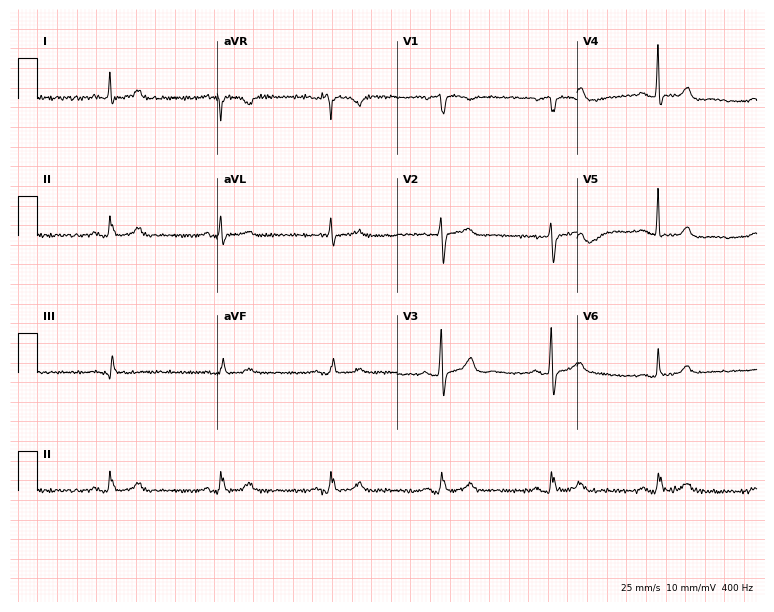
ECG (7.3-second recording at 400 Hz) — a male patient, 63 years old. Screened for six findings — first-degree AV block, right bundle branch block, left bundle branch block, sinus bradycardia, atrial fibrillation, sinus tachycardia — none is recorded.